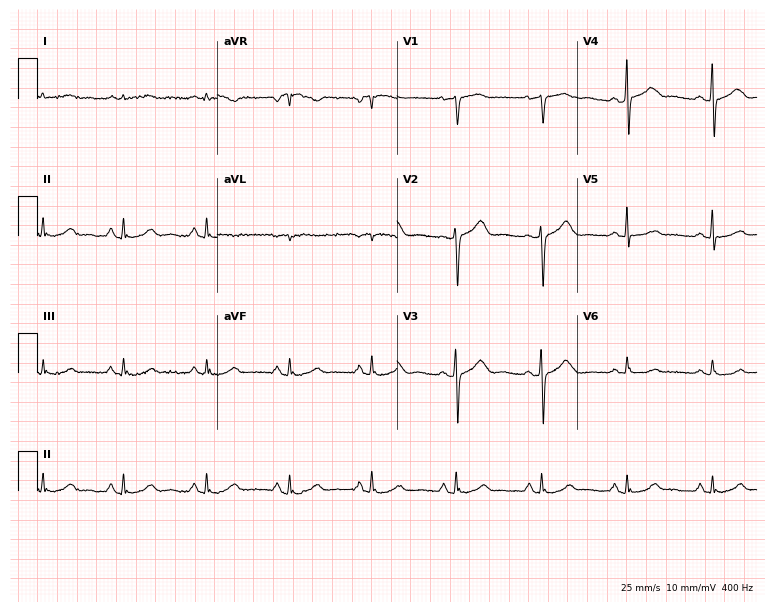
Electrocardiogram (7.3-second recording at 400 Hz), an 81-year-old woman. Overall reading on record: normal ECG.